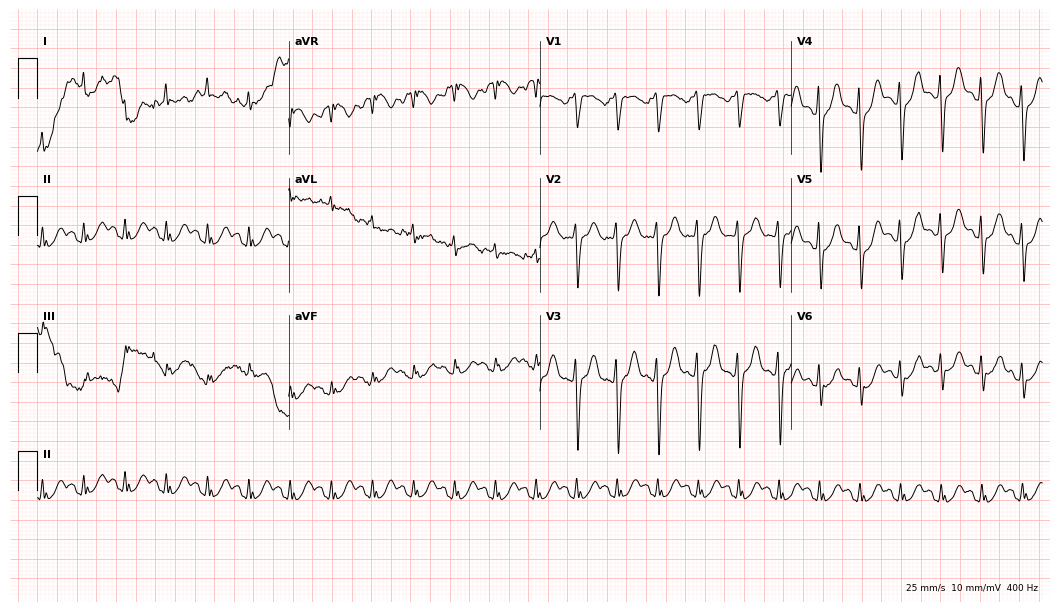
Resting 12-lead electrocardiogram (10.2-second recording at 400 Hz). Patient: a 41-year-old male. The tracing shows sinus tachycardia (a sinus rate of 100 beats per minute or more).